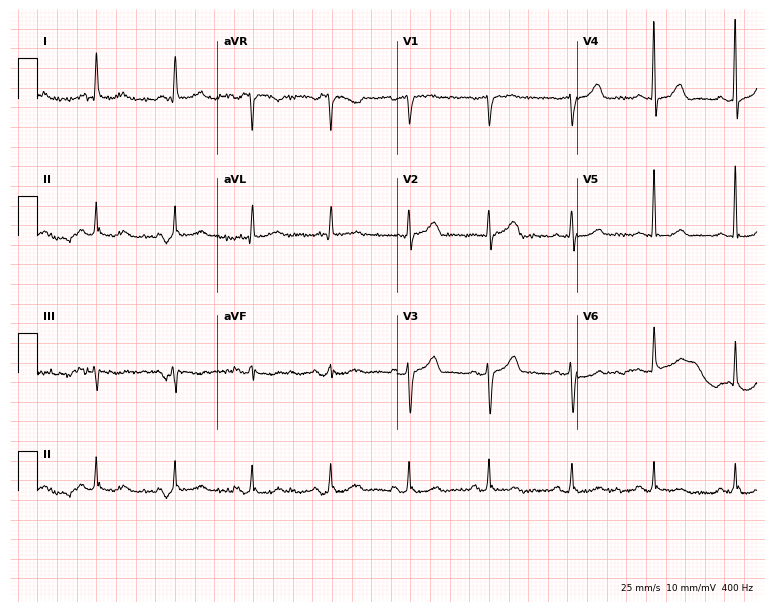
12-lead ECG from a 79-year-old female. Recorded interpretation: within normal limits.